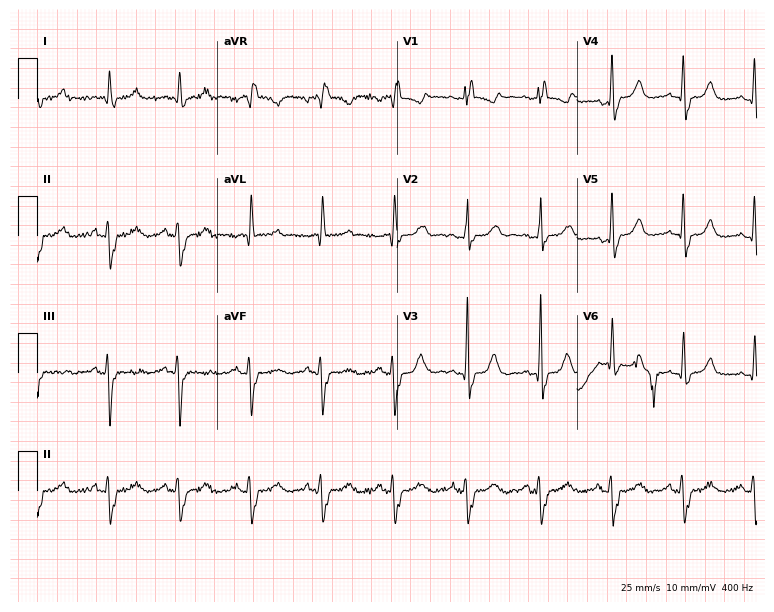
Electrocardiogram (7.3-second recording at 400 Hz), a female patient, 68 years old. Interpretation includes right bundle branch block.